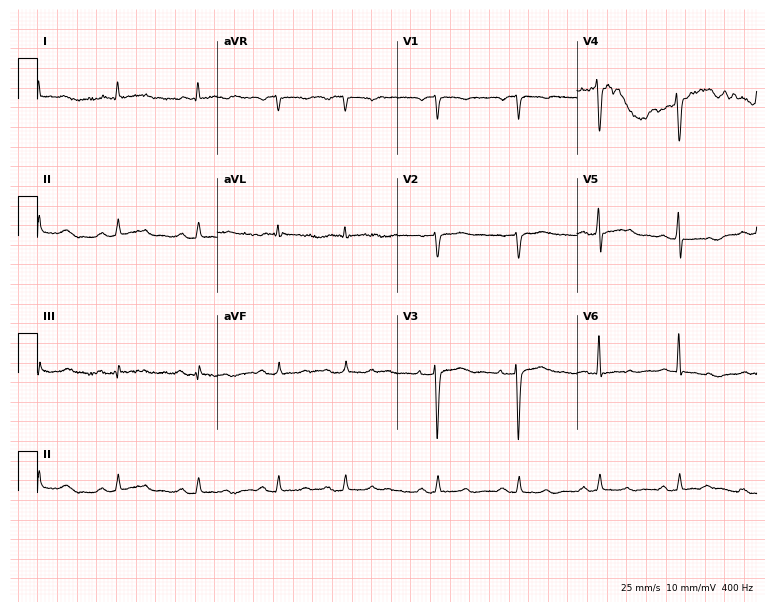
12-lead ECG from a 63-year-old female. Screened for six findings — first-degree AV block, right bundle branch block, left bundle branch block, sinus bradycardia, atrial fibrillation, sinus tachycardia — none is recorded. Findings outside these six are not listed.